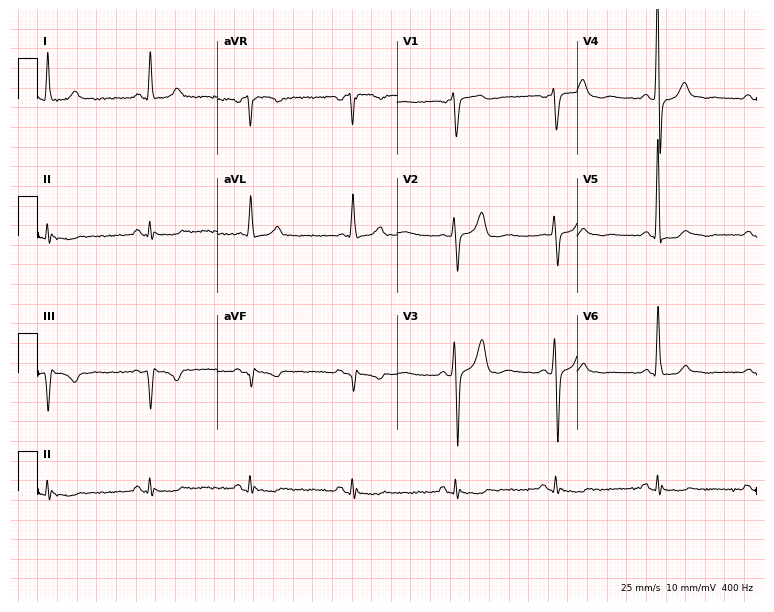
Resting 12-lead electrocardiogram (7.3-second recording at 400 Hz). Patient: a 63-year-old male. None of these six findings is recorded: first-degree AV block, right bundle branch block (RBBB), left bundle branch block (LBBB), sinus bradycardia, atrial fibrillation (AF), sinus tachycardia.